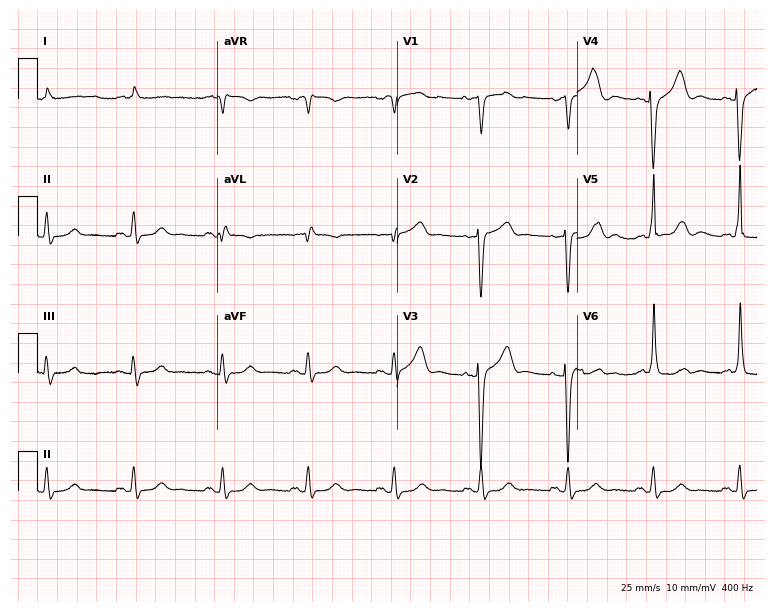
12-lead ECG from a woman, 80 years old. Screened for six findings — first-degree AV block, right bundle branch block (RBBB), left bundle branch block (LBBB), sinus bradycardia, atrial fibrillation (AF), sinus tachycardia — none is recorded. Findings outside these six are not listed.